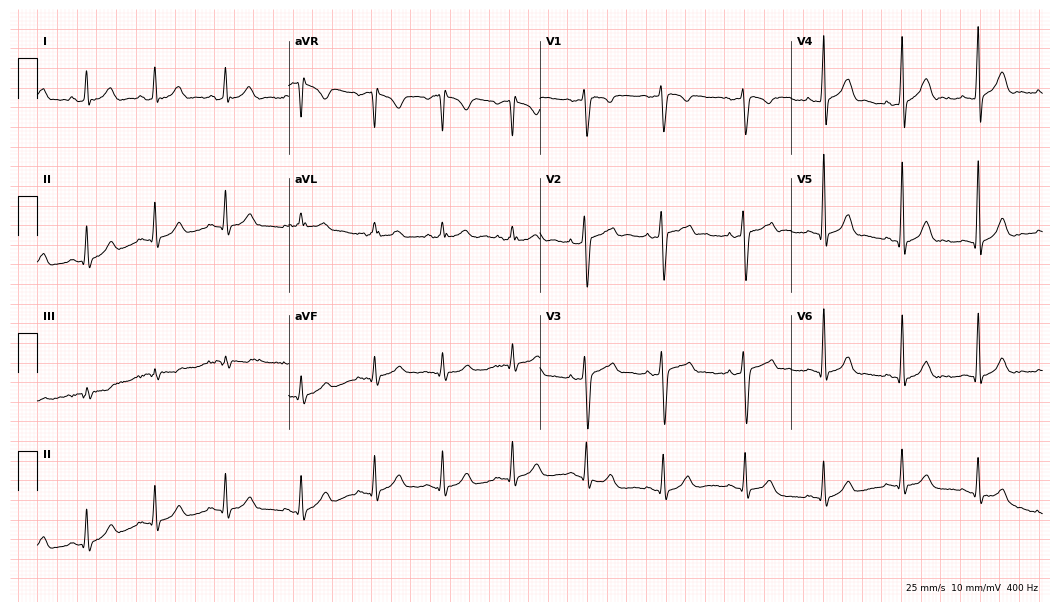
ECG (10.2-second recording at 400 Hz) — a man, 25 years old. Labelled as a normal ECG.